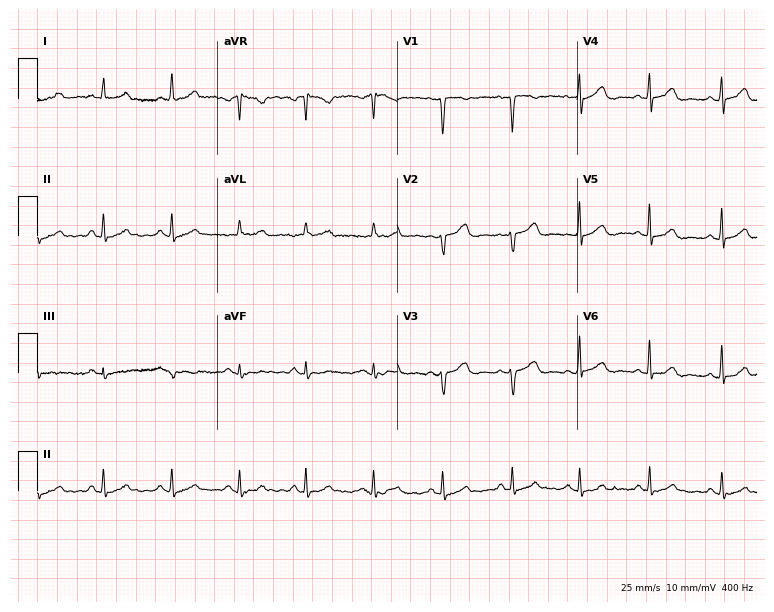
Resting 12-lead electrocardiogram (7.3-second recording at 400 Hz). Patient: a woman, 41 years old. None of these six findings is recorded: first-degree AV block, right bundle branch block, left bundle branch block, sinus bradycardia, atrial fibrillation, sinus tachycardia. Other findings, if any, are not listed.